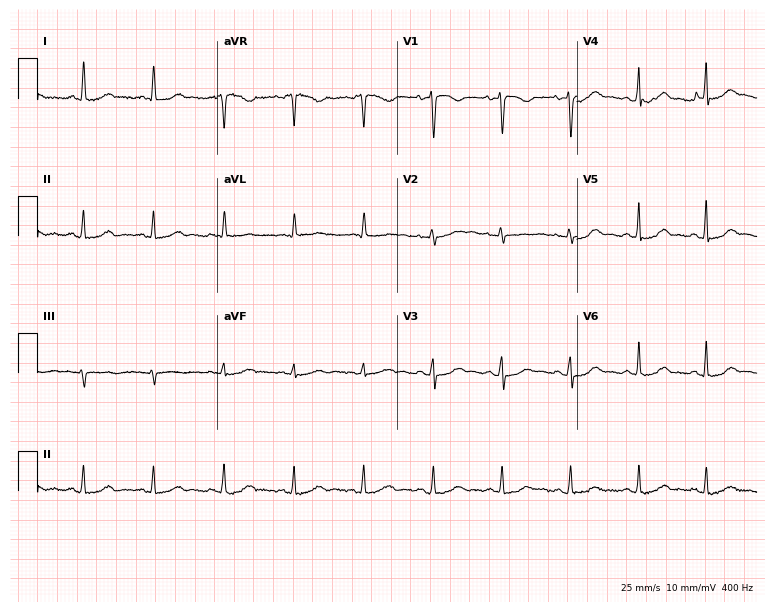
12-lead ECG from a 41-year-old female (7.3-second recording at 400 Hz). No first-degree AV block, right bundle branch block, left bundle branch block, sinus bradycardia, atrial fibrillation or sinus tachycardia recorded for this tracing. Other findings, if any, are not listed.